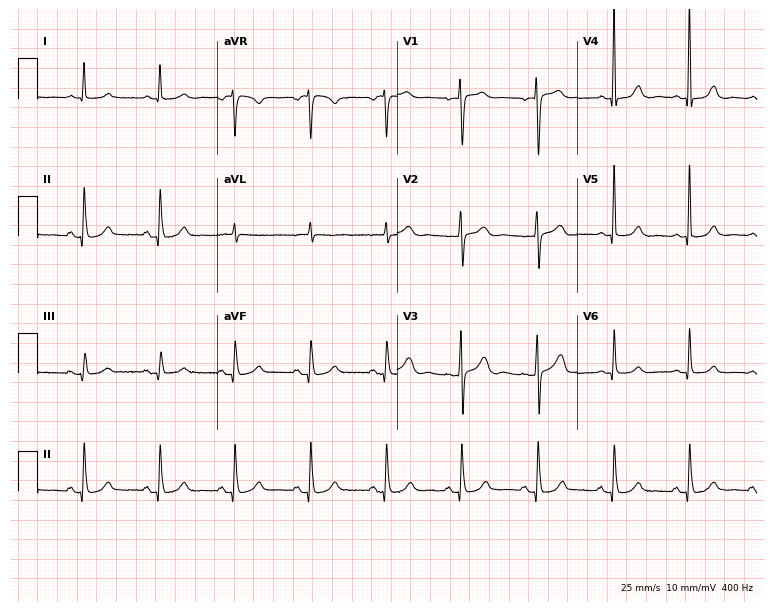
12-lead ECG from a female, 70 years old. Screened for six findings — first-degree AV block, right bundle branch block, left bundle branch block, sinus bradycardia, atrial fibrillation, sinus tachycardia — none is recorded.